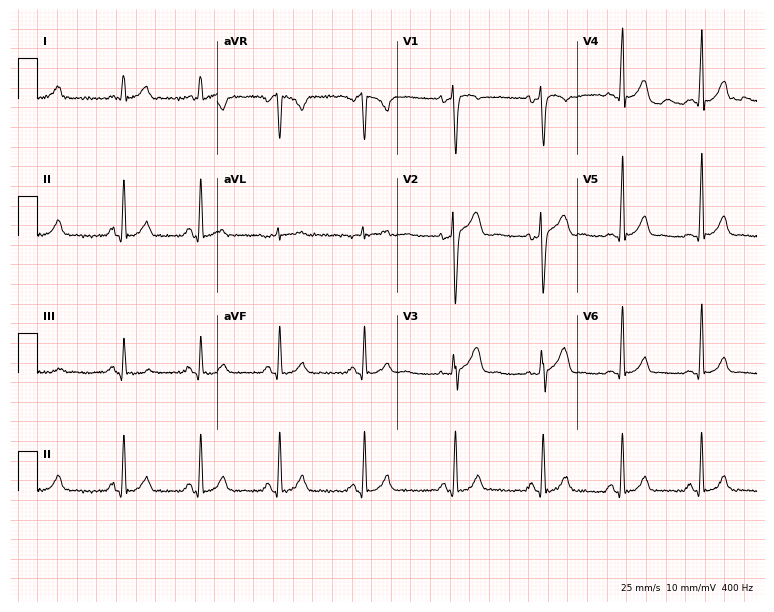
Resting 12-lead electrocardiogram. Patient: a male, 18 years old. Read as a normal ECG.